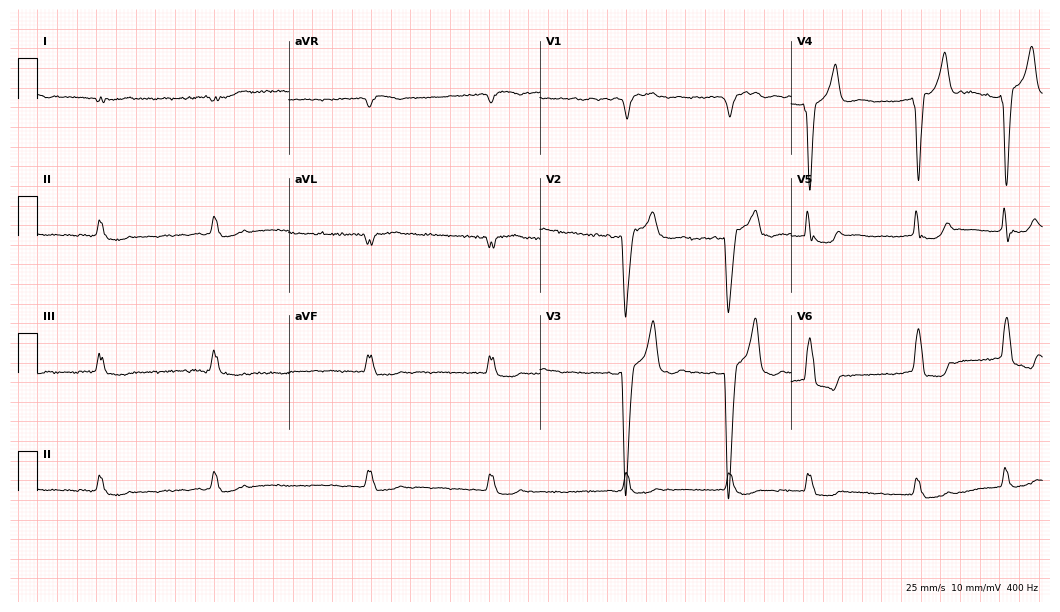
Resting 12-lead electrocardiogram (10.2-second recording at 400 Hz). Patient: a female, 79 years old. The tracing shows left bundle branch block, atrial fibrillation.